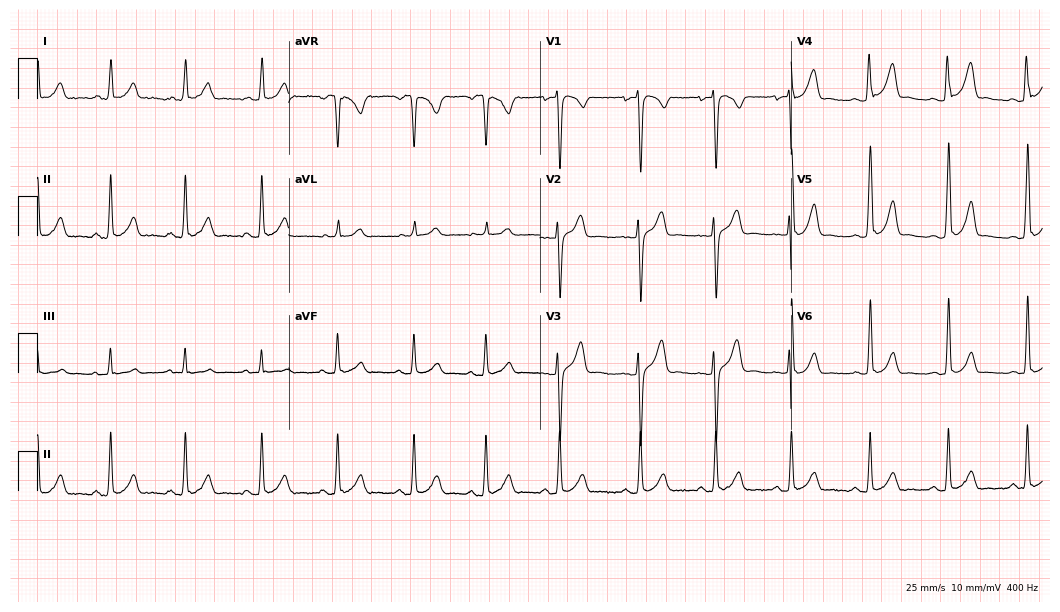
Resting 12-lead electrocardiogram (10.2-second recording at 400 Hz). Patient: a 22-year-old male. Read as a normal ECG.